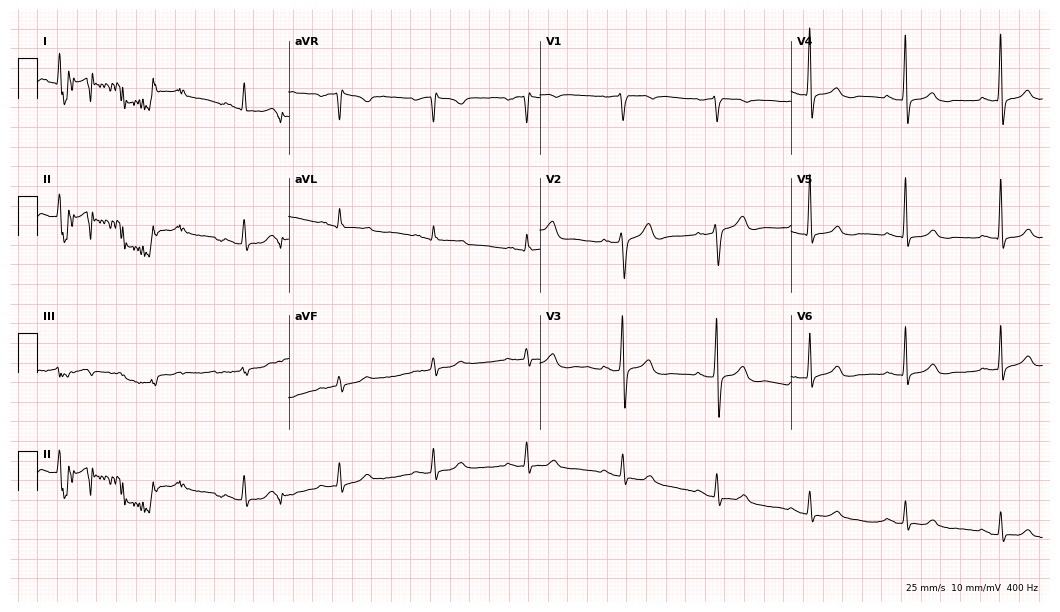
Resting 12-lead electrocardiogram. Patient: a 57-year-old male. None of these six findings is recorded: first-degree AV block, right bundle branch block, left bundle branch block, sinus bradycardia, atrial fibrillation, sinus tachycardia.